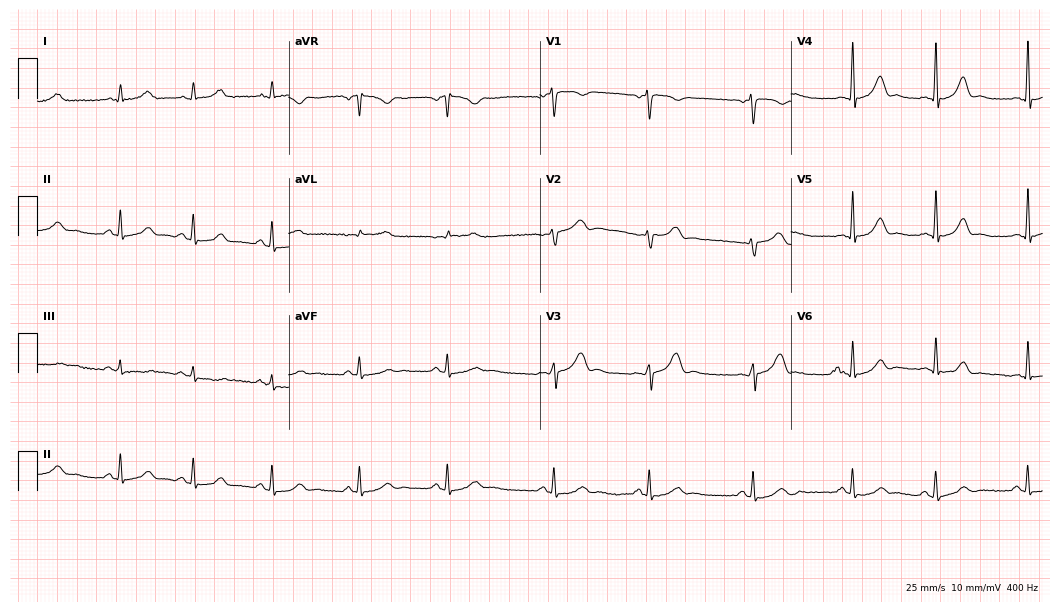
Resting 12-lead electrocardiogram. Patient: a 25-year-old female. Read as a normal ECG.